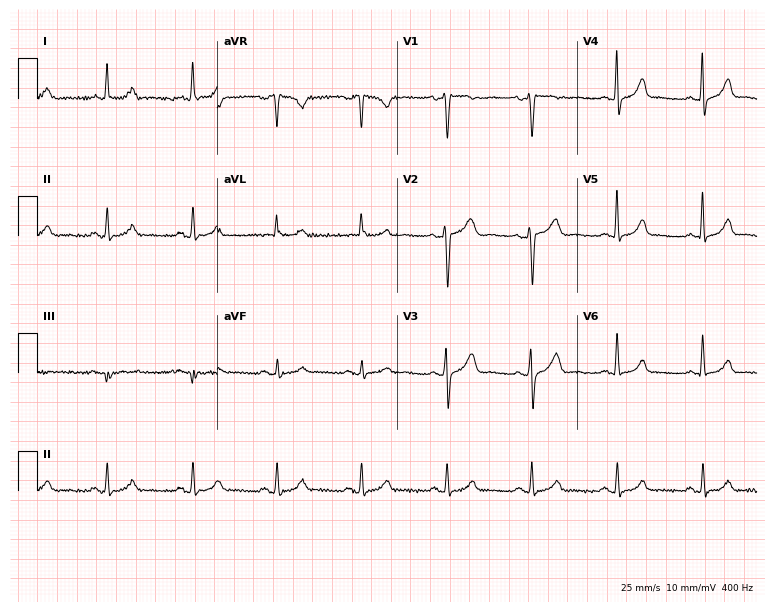
Resting 12-lead electrocardiogram (7.3-second recording at 400 Hz). Patient: a 48-year-old female. Read as a normal ECG.